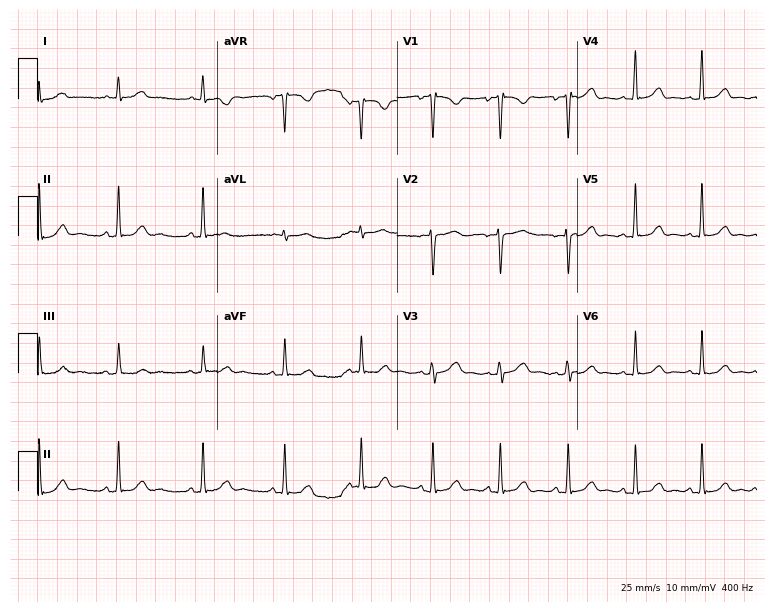
Electrocardiogram (7.3-second recording at 400 Hz), a 30-year-old female. Overall reading on record: normal ECG.